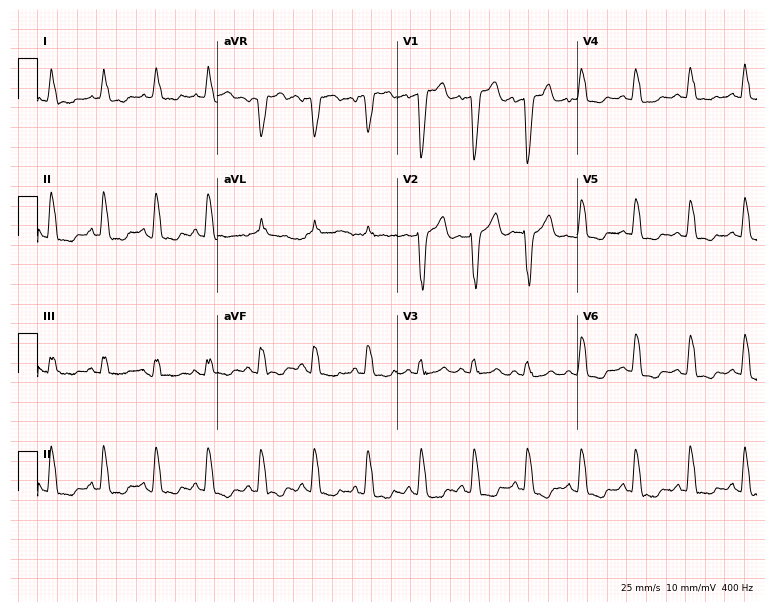
Resting 12-lead electrocardiogram (7.3-second recording at 400 Hz). Patient: an 81-year-old woman. The tracing shows sinus tachycardia (a sinus rate of 100 beats per minute or more).